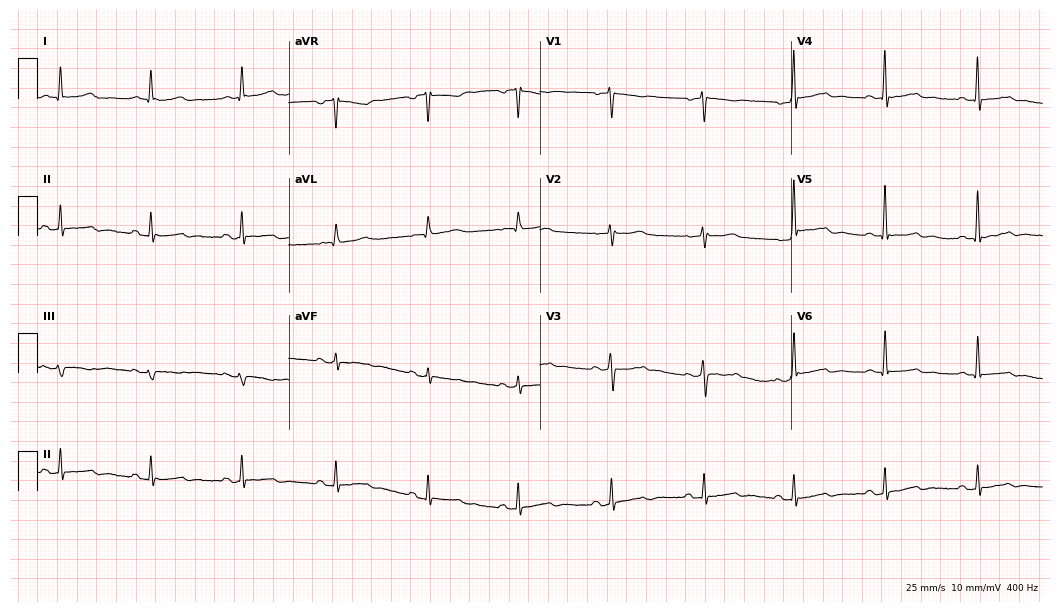
12-lead ECG (10.2-second recording at 400 Hz) from a female, 71 years old. Labelled as a normal ECG.